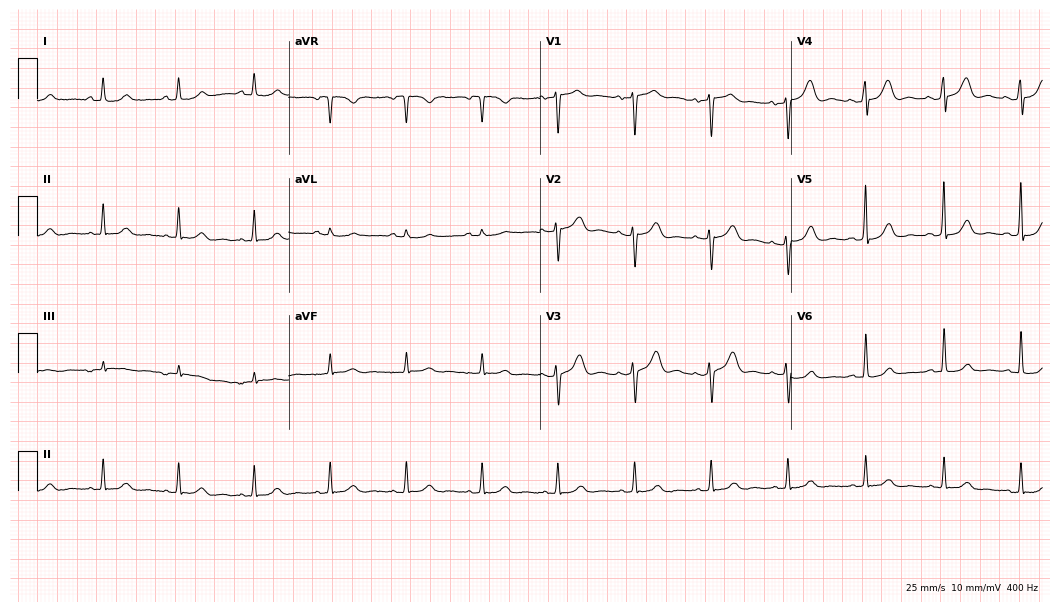
ECG (10.2-second recording at 400 Hz) — a female patient, 47 years old. Labelled as a normal ECG.